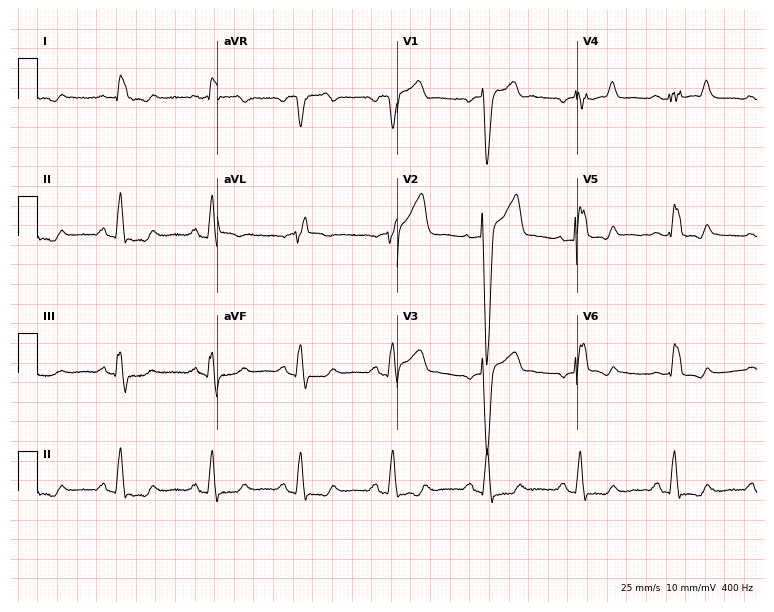
12-lead ECG from a male patient, 80 years old. Shows left bundle branch block.